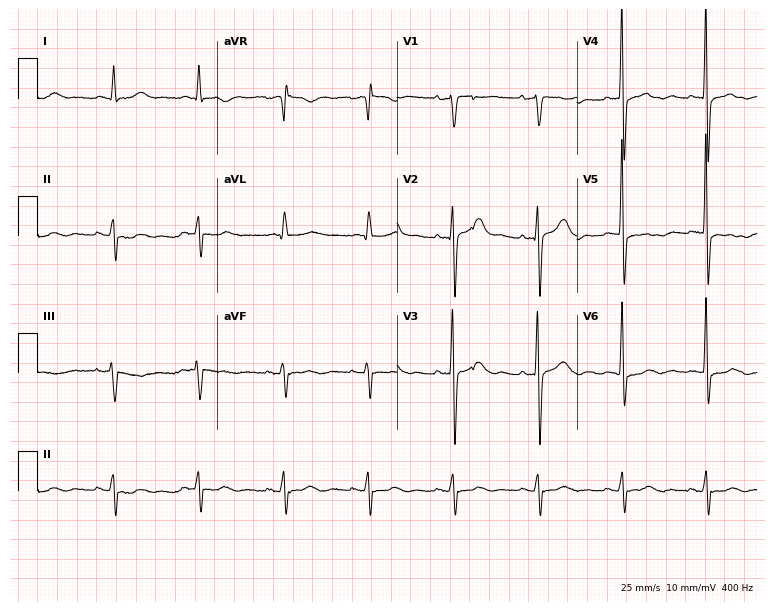
Electrocardiogram (7.3-second recording at 400 Hz), a man, 83 years old. Of the six screened findings (first-degree AV block, right bundle branch block (RBBB), left bundle branch block (LBBB), sinus bradycardia, atrial fibrillation (AF), sinus tachycardia), none is recorded. Findings outside these six are not listed.